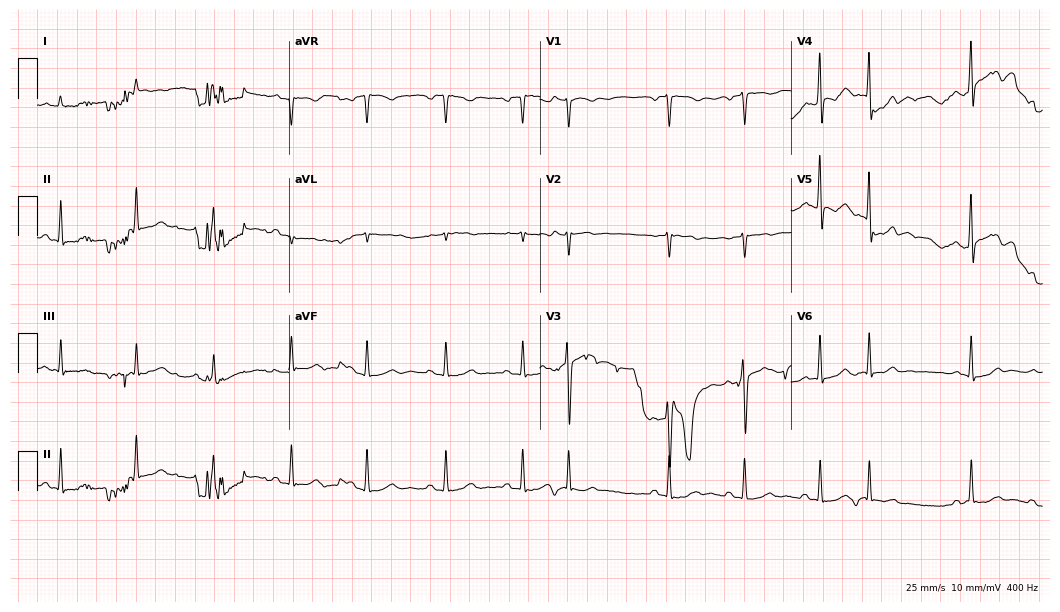
Resting 12-lead electrocardiogram (10.2-second recording at 400 Hz). Patient: a 49-year-old man. None of these six findings is recorded: first-degree AV block, right bundle branch block (RBBB), left bundle branch block (LBBB), sinus bradycardia, atrial fibrillation (AF), sinus tachycardia.